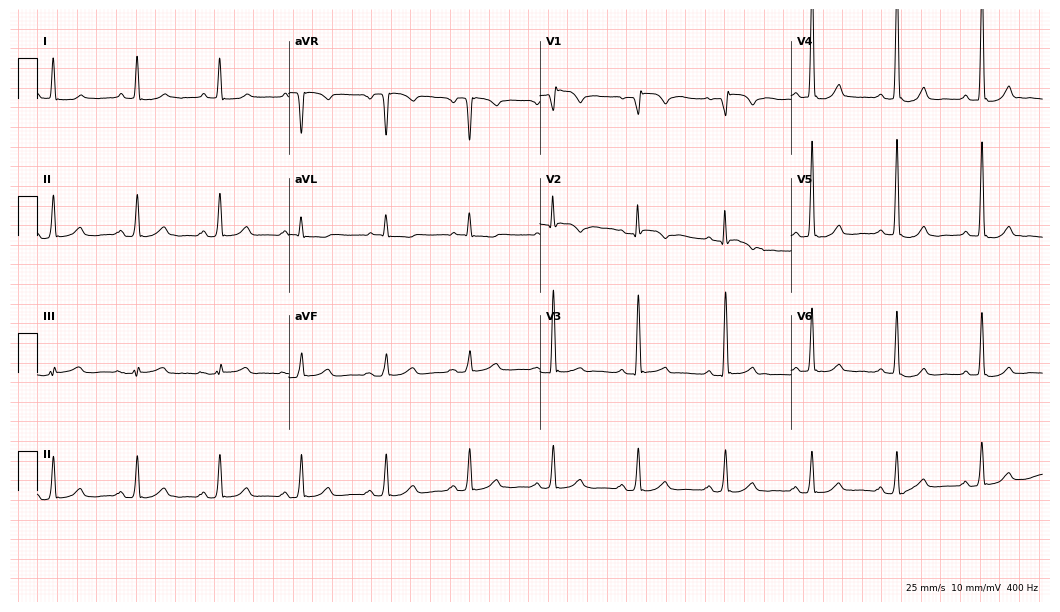
Standard 12-lead ECG recorded from a male, 68 years old. Read as a normal ECG.